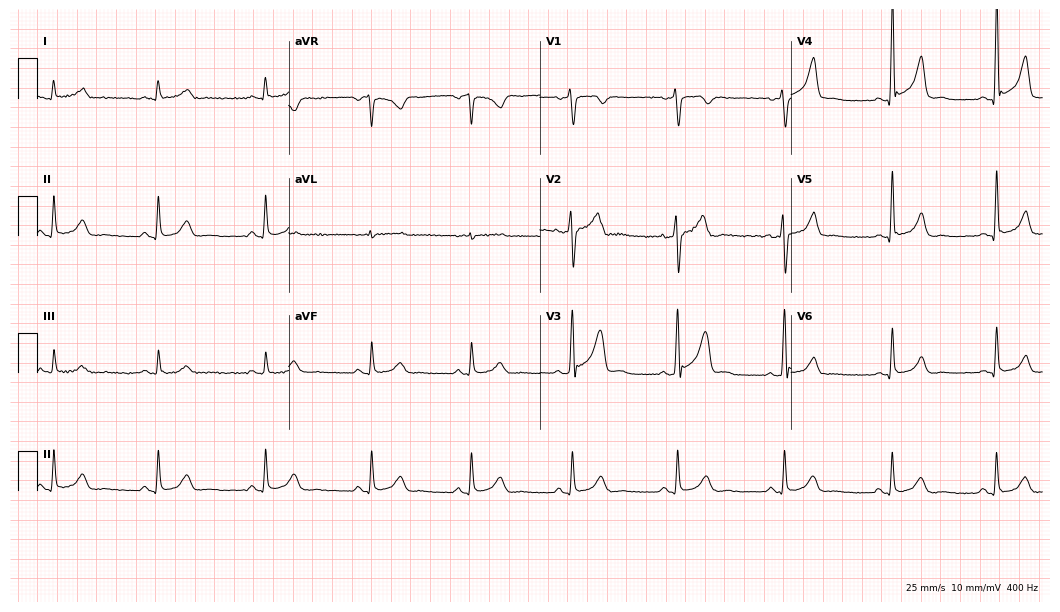
Resting 12-lead electrocardiogram. Patient: a male, 48 years old. None of these six findings is recorded: first-degree AV block, right bundle branch block, left bundle branch block, sinus bradycardia, atrial fibrillation, sinus tachycardia.